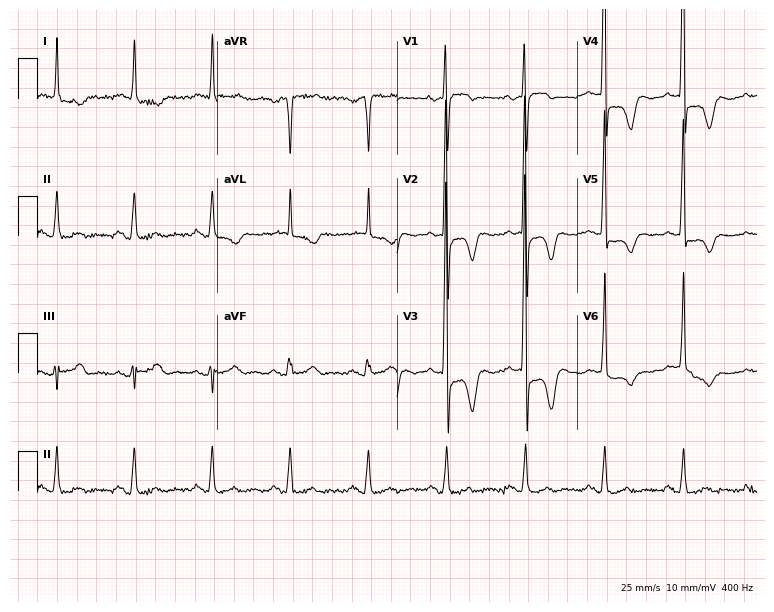
12-lead ECG from an 84-year-old man. No first-degree AV block, right bundle branch block, left bundle branch block, sinus bradycardia, atrial fibrillation or sinus tachycardia recorded for this tracing.